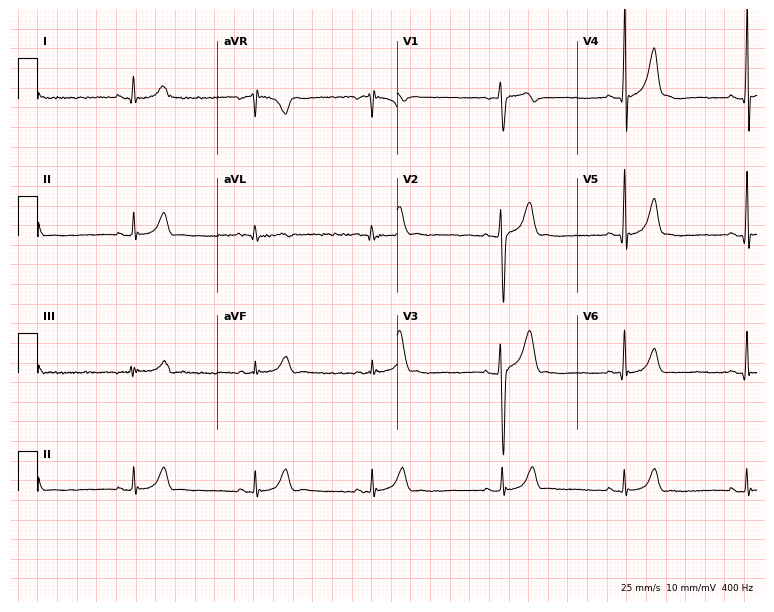
12-lead ECG from a 20-year-old male patient. Shows sinus bradycardia (a sinus rate of 50 beats per minute or less).